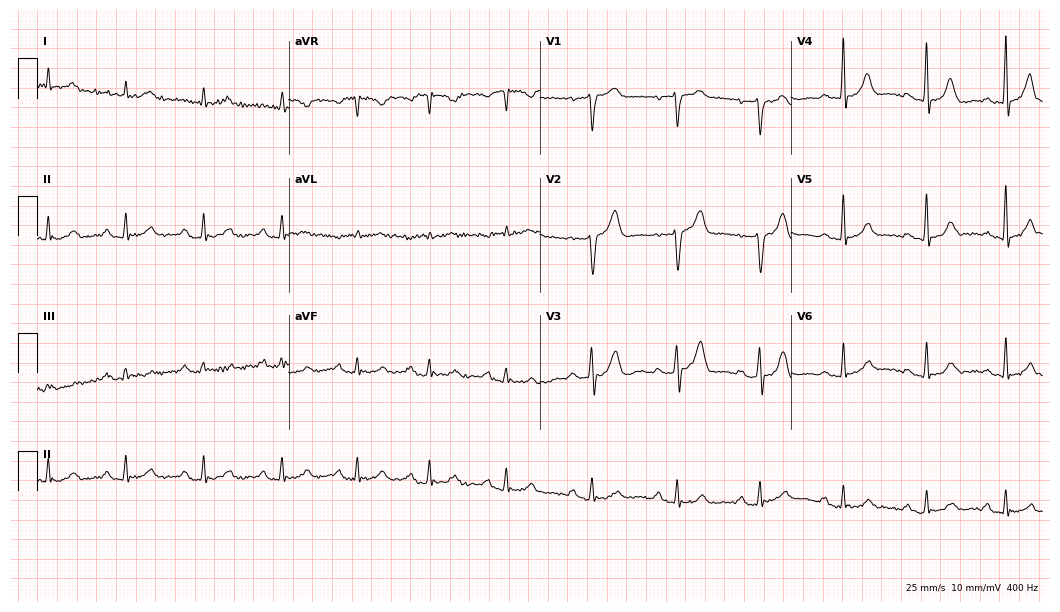
12-lead ECG from a 75-year-old male patient. Labelled as a normal ECG.